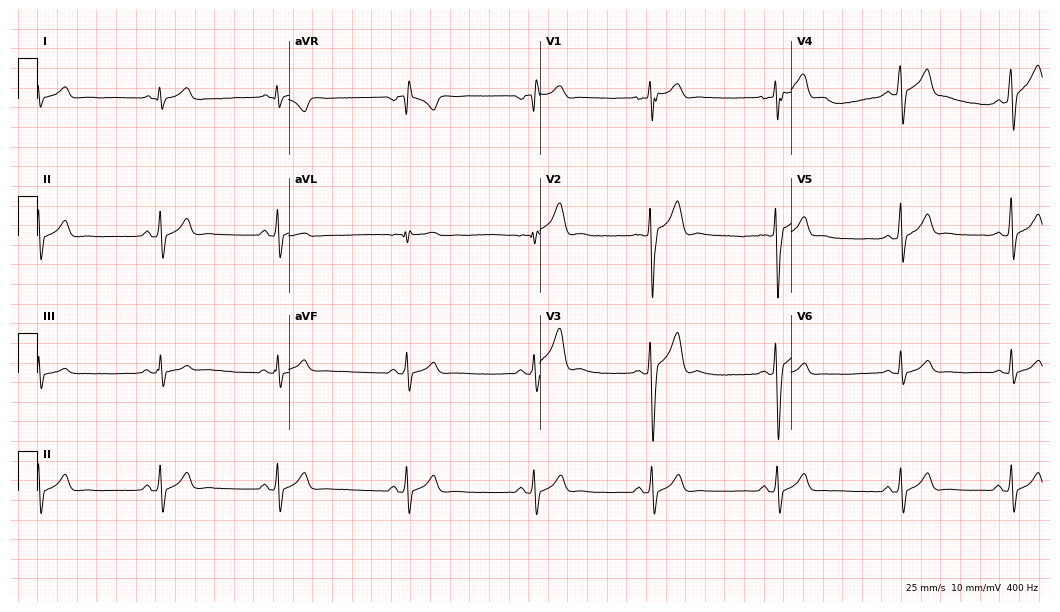
Electrocardiogram (10.2-second recording at 400 Hz), a 20-year-old male. Of the six screened findings (first-degree AV block, right bundle branch block, left bundle branch block, sinus bradycardia, atrial fibrillation, sinus tachycardia), none is recorded.